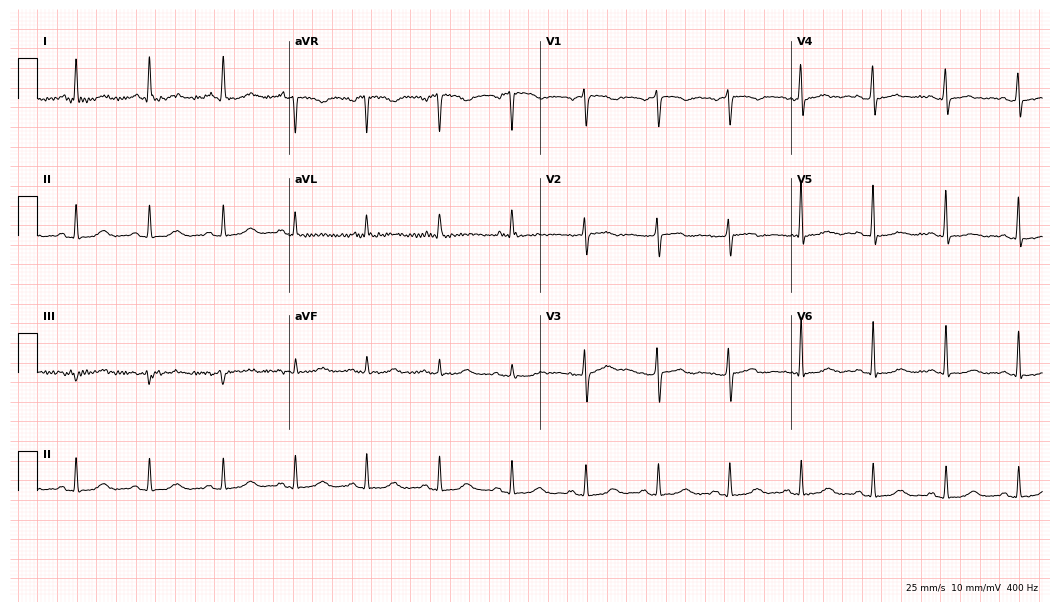
Standard 12-lead ECG recorded from a female patient, 63 years old. Read as a normal ECG.